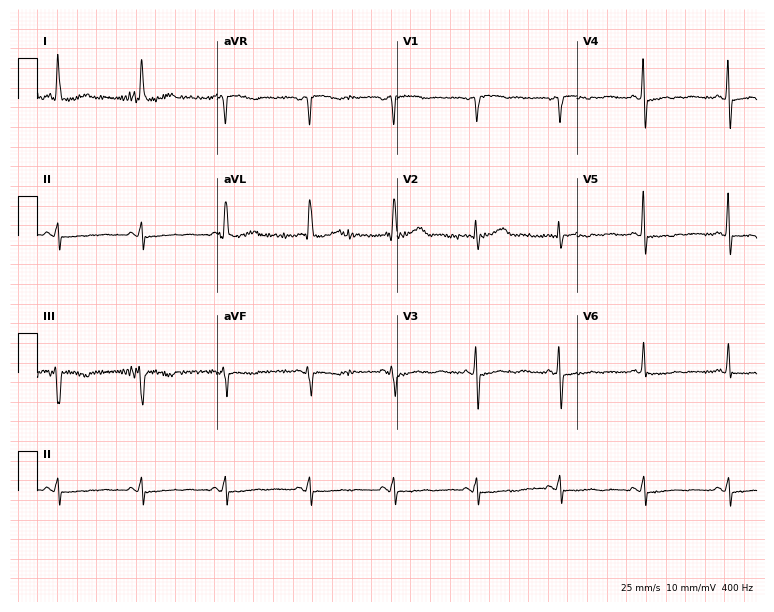
12-lead ECG from a female patient, 76 years old (7.3-second recording at 400 Hz). No first-degree AV block, right bundle branch block, left bundle branch block, sinus bradycardia, atrial fibrillation or sinus tachycardia recorded for this tracing. Other findings, if any, are not listed.